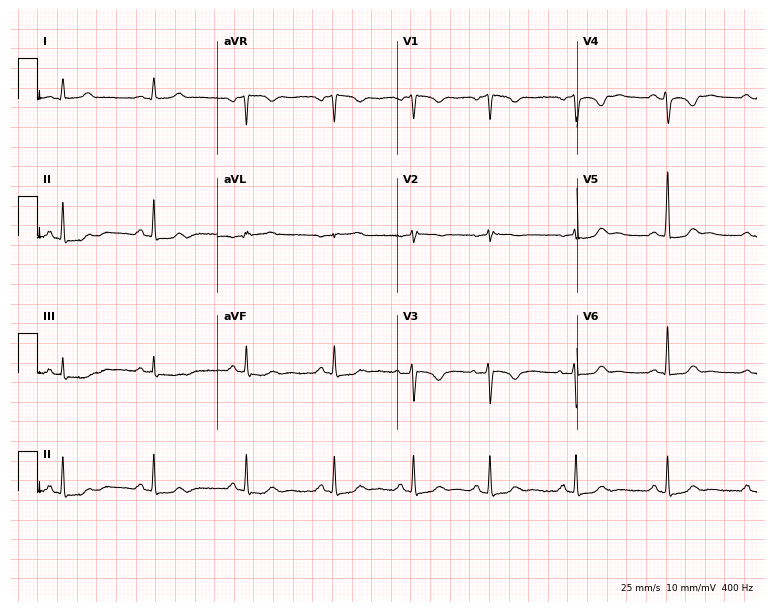
12-lead ECG from a woman, 26 years old. No first-degree AV block, right bundle branch block (RBBB), left bundle branch block (LBBB), sinus bradycardia, atrial fibrillation (AF) or sinus tachycardia recorded for this tracing.